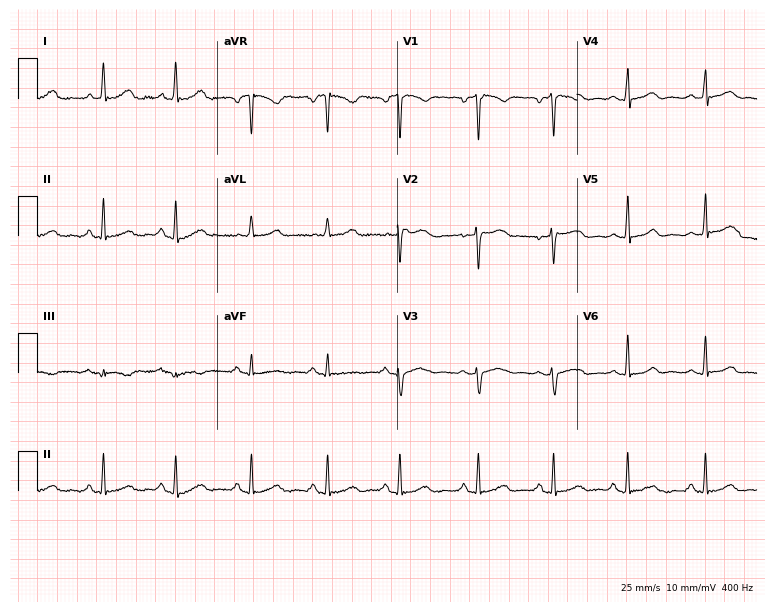
Electrocardiogram (7.3-second recording at 400 Hz), a 35-year-old woman. Overall reading on record: normal ECG.